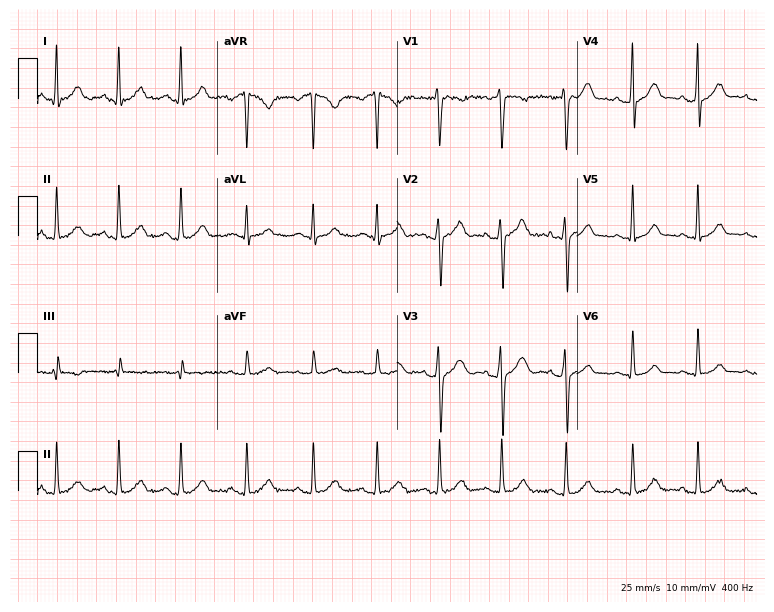
Standard 12-lead ECG recorded from a female patient, 28 years old (7.3-second recording at 400 Hz). Read as a normal ECG.